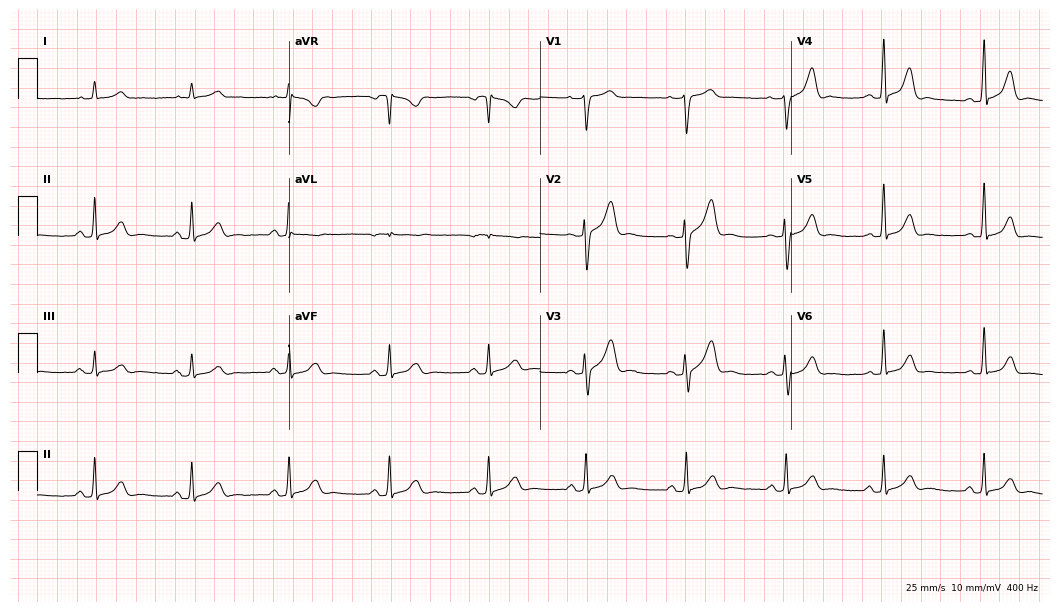
Resting 12-lead electrocardiogram. Patient: a male, 74 years old. Read as a normal ECG.